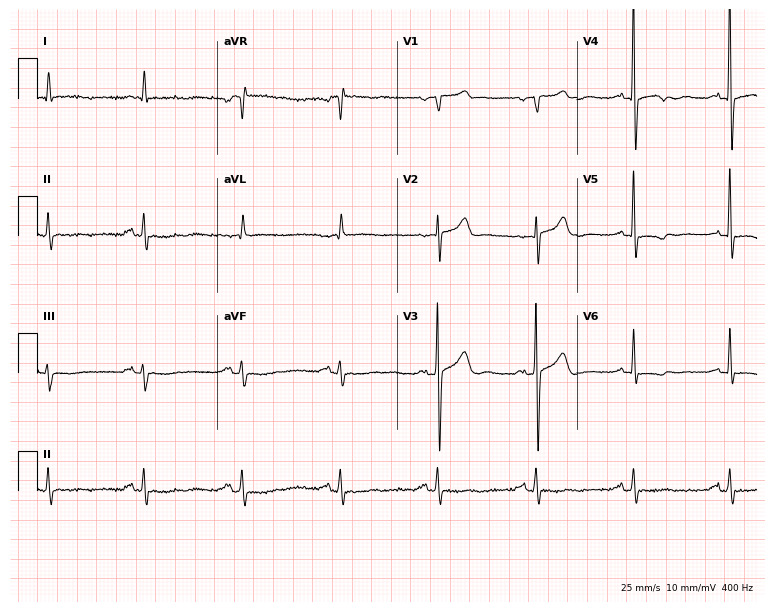
Resting 12-lead electrocardiogram (7.3-second recording at 400 Hz). Patient: a 78-year-old male. None of these six findings is recorded: first-degree AV block, right bundle branch block, left bundle branch block, sinus bradycardia, atrial fibrillation, sinus tachycardia.